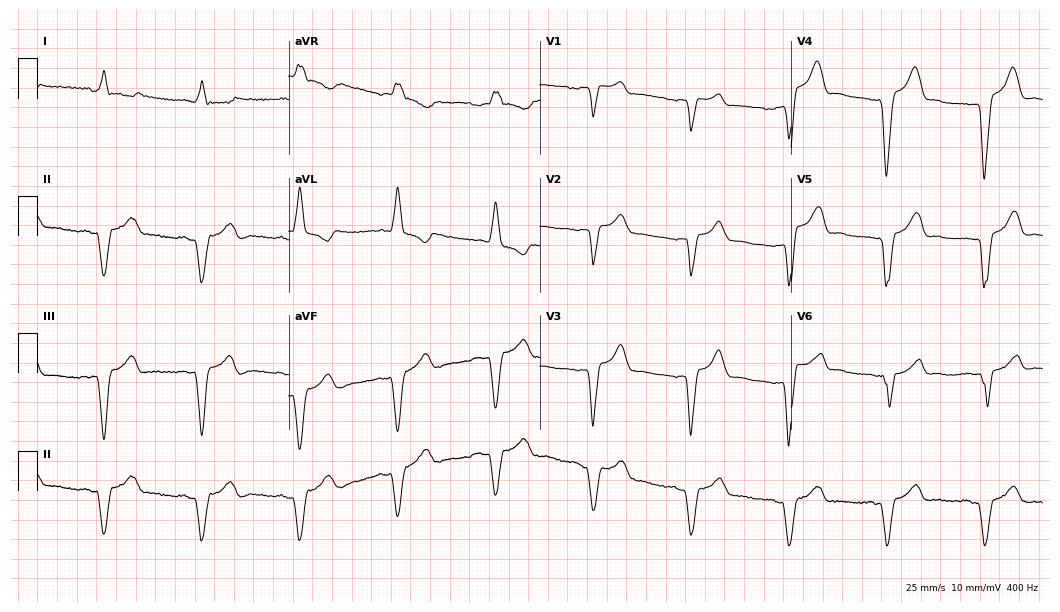
12-lead ECG from a 76-year-old male. No first-degree AV block, right bundle branch block (RBBB), left bundle branch block (LBBB), sinus bradycardia, atrial fibrillation (AF) or sinus tachycardia recorded for this tracing.